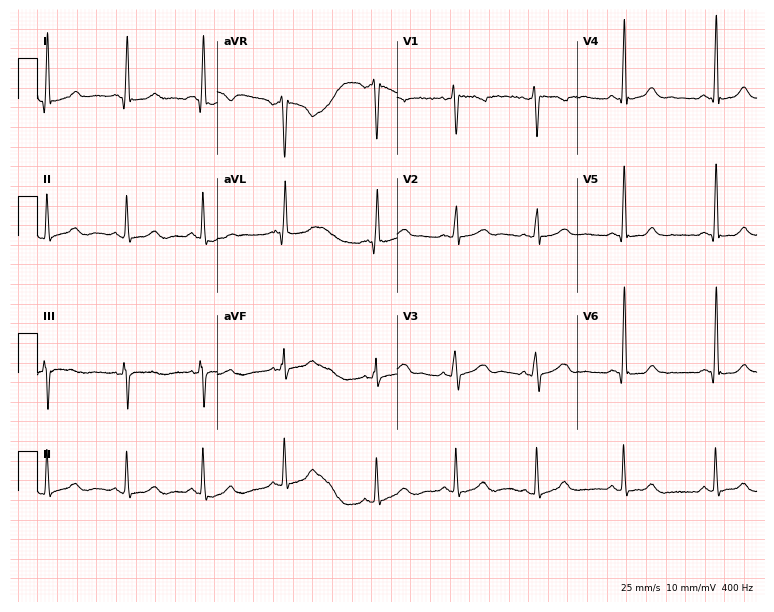
12-lead ECG from a female patient, 35 years old. Recorded interpretation: within normal limits.